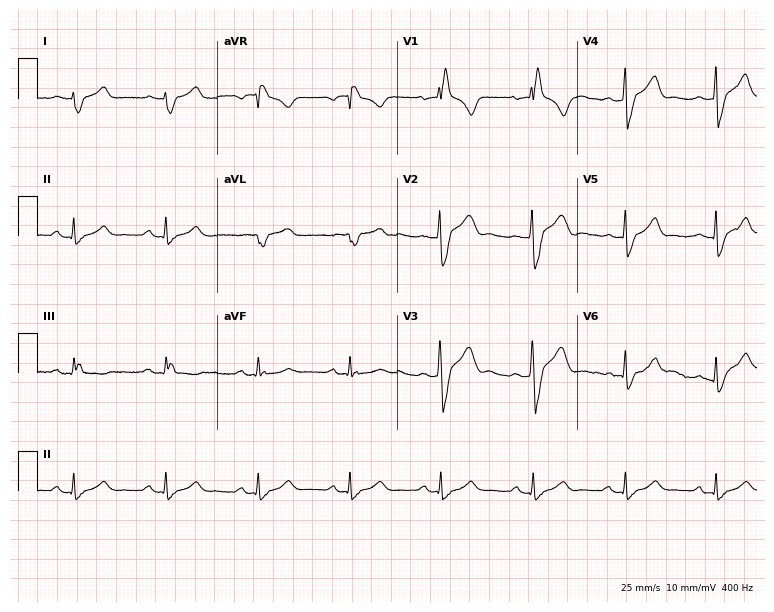
Electrocardiogram (7.3-second recording at 400 Hz), a male patient, 42 years old. Interpretation includes right bundle branch block (RBBB).